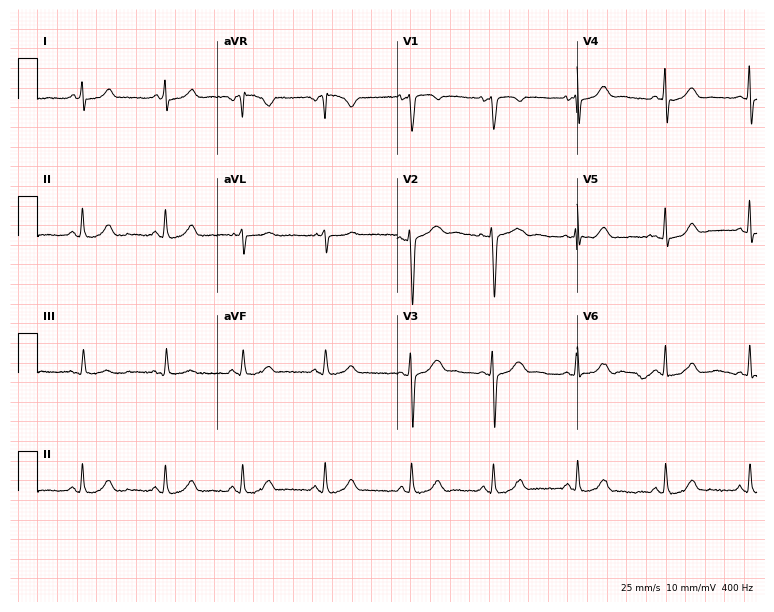
Resting 12-lead electrocardiogram. Patient: a 30-year-old female. None of these six findings is recorded: first-degree AV block, right bundle branch block, left bundle branch block, sinus bradycardia, atrial fibrillation, sinus tachycardia.